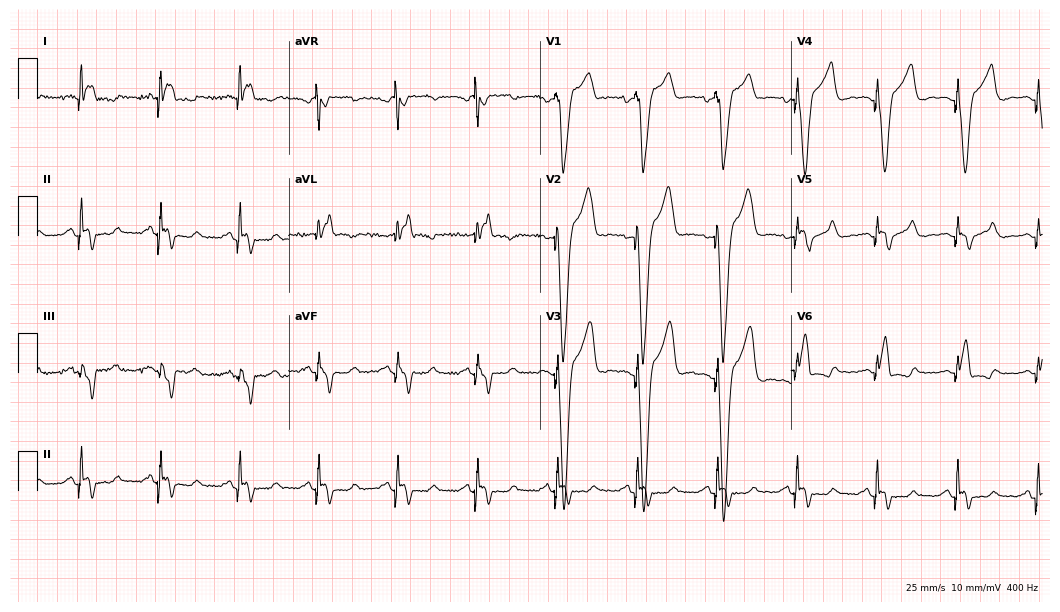
12-lead ECG from a 76-year-old man. No first-degree AV block, right bundle branch block, left bundle branch block, sinus bradycardia, atrial fibrillation or sinus tachycardia recorded for this tracing. Other findings, if any, are not listed.